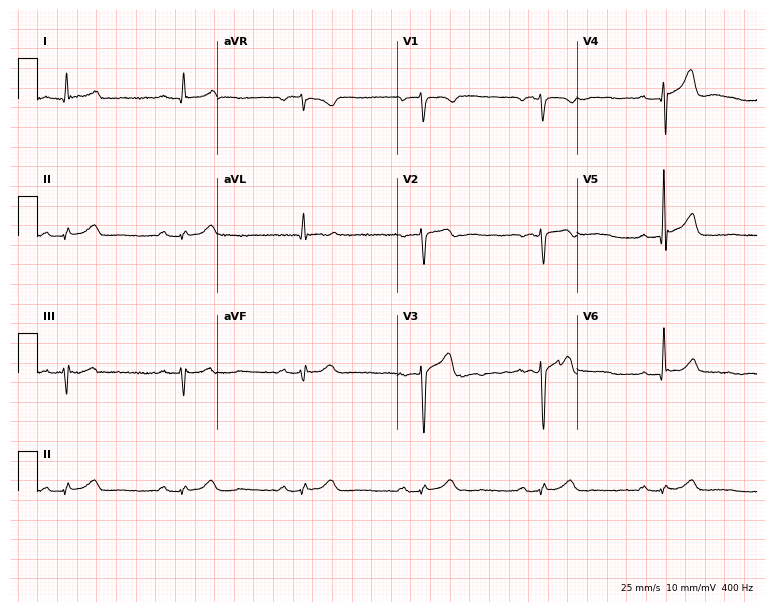
Standard 12-lead ECG recorded from a man, 70 years old (7.3-second recording at 400 Hz). Read as a normal ECG.